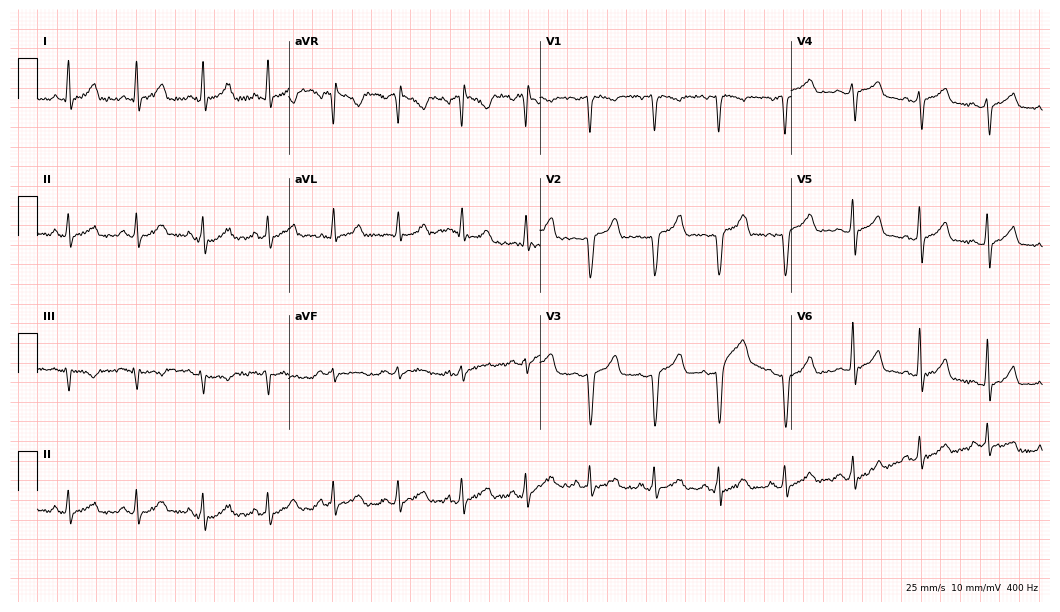
Electrocardiogram, a man, 38 years old. Of the six screened findings (first-degree AV block, right bundle branch block, left bundle branch block, sinus bradycardia, atrial fibrillation, sinus tachycardia), none is recorded.